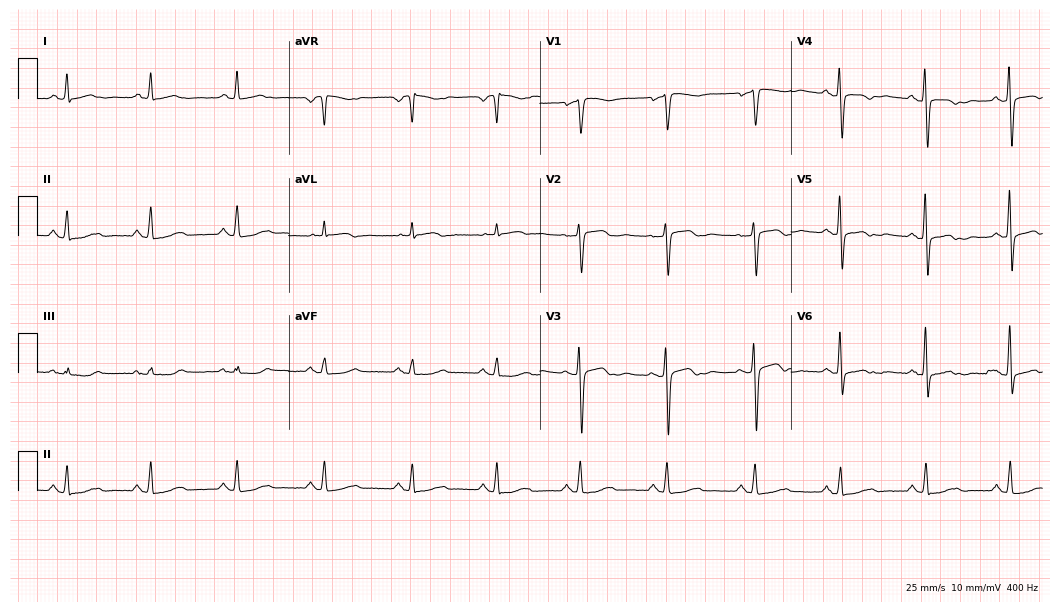
Electrocardiogram, a female patient, 60 years old. Of the six screened findings (first-degree AV block, right bundle branch block, left bundle branch block, sinus bradycardia, atrial fibrillation, sinus tachycardia), none is recorded.